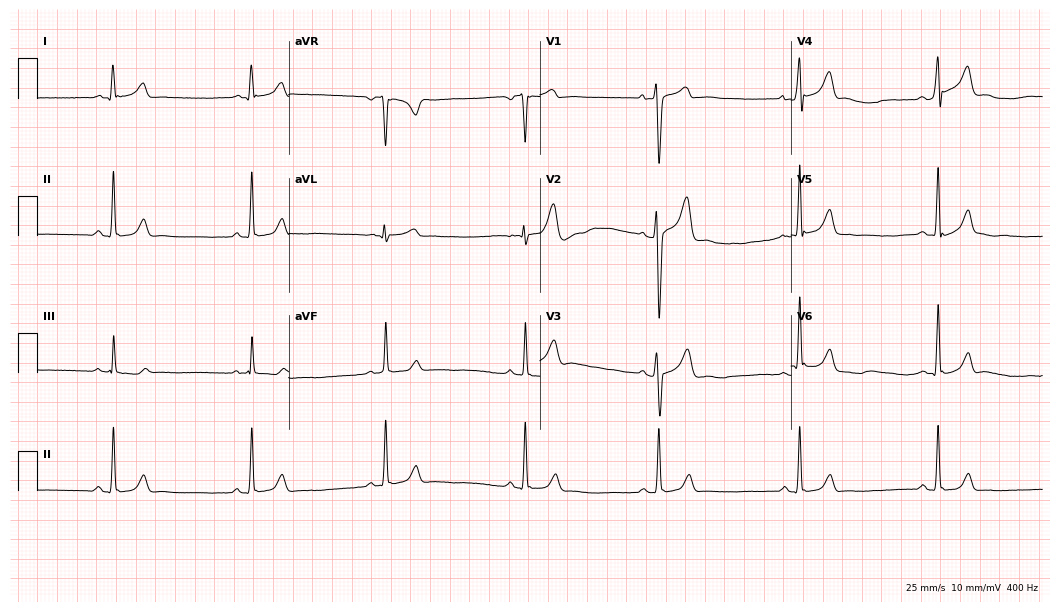
Electrocardiogram, a 21-year-old man. Interpretation includes sinus bradycardia (a sinus rate of 50 beats per minute or less).